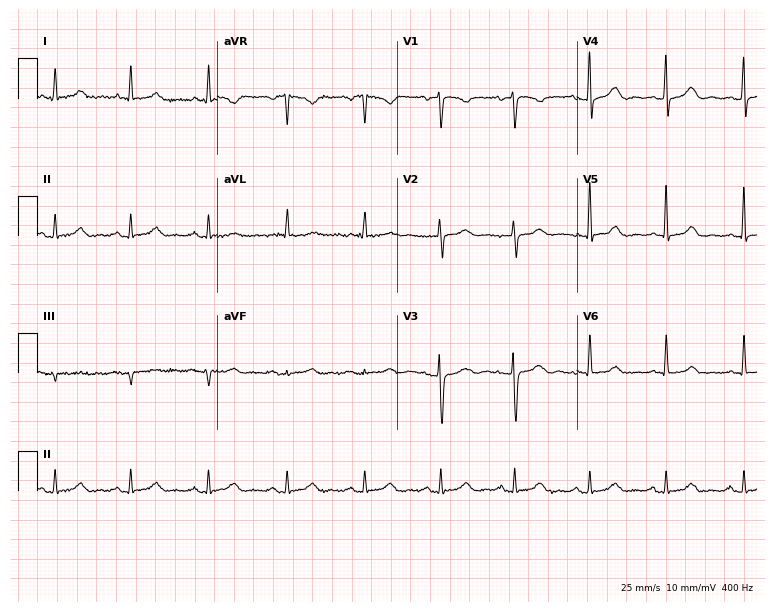
Electrocardiogram (7.3-second recording at 400 Hz), a female patient, 63 years old. Overall reading on record: normal ECG.